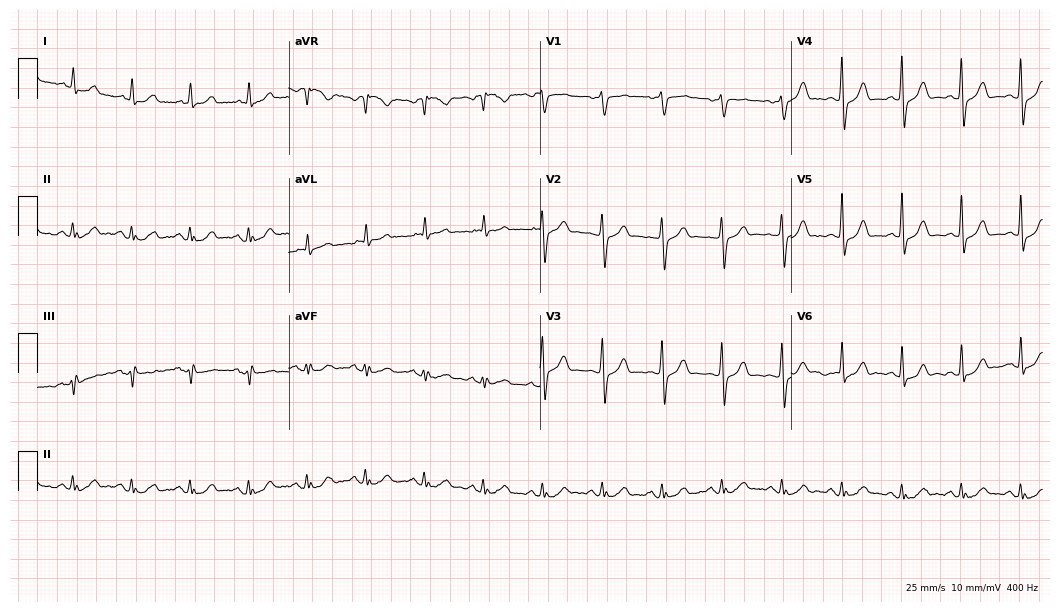
Electrocardiogram, a male, 80 years old. Overall reading on record: normal ECG.